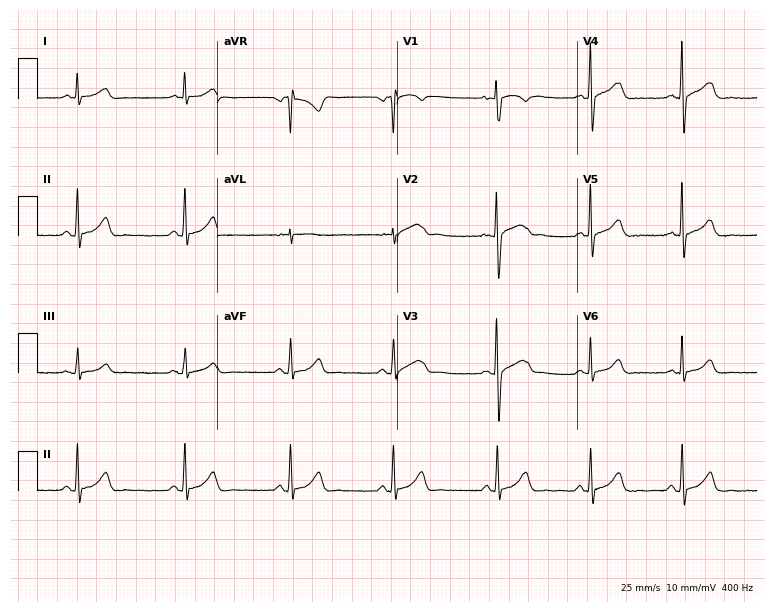
12-lead ECG (7.3-second recording at 400 Hz) from a 25-year-old female patient. Labelled as a normal ECG.